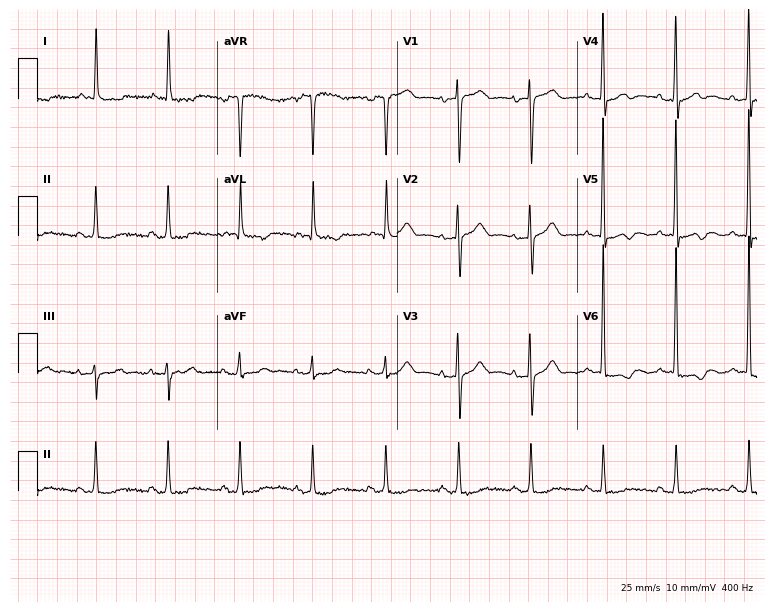
ECG (7.3-second recording at 400 Hz) — a woman, 77 years old. Screened for six findings — first-degree AV block, right bundle branch block, left bundle branch block, sinus bradycardia, atrial fibrillation, sinus tachycardia — none is recorded.